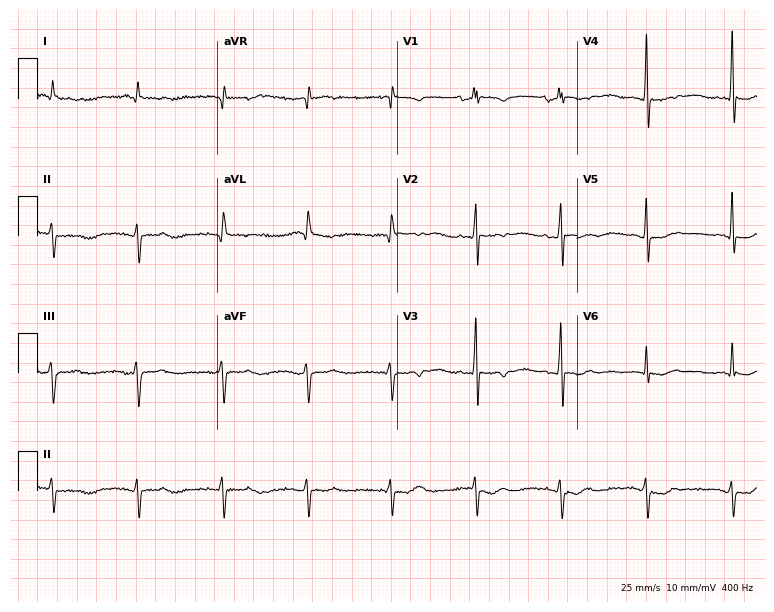
12-lead ECG (7.3-second recording at 400 Hz) from a 70-year-old man. Screened for six findings — first-degree AV block, right bundle branch block, left bundle branch block, sinus bradycardia, atrial fibrillation, sinus tachycardia — none is recorded.